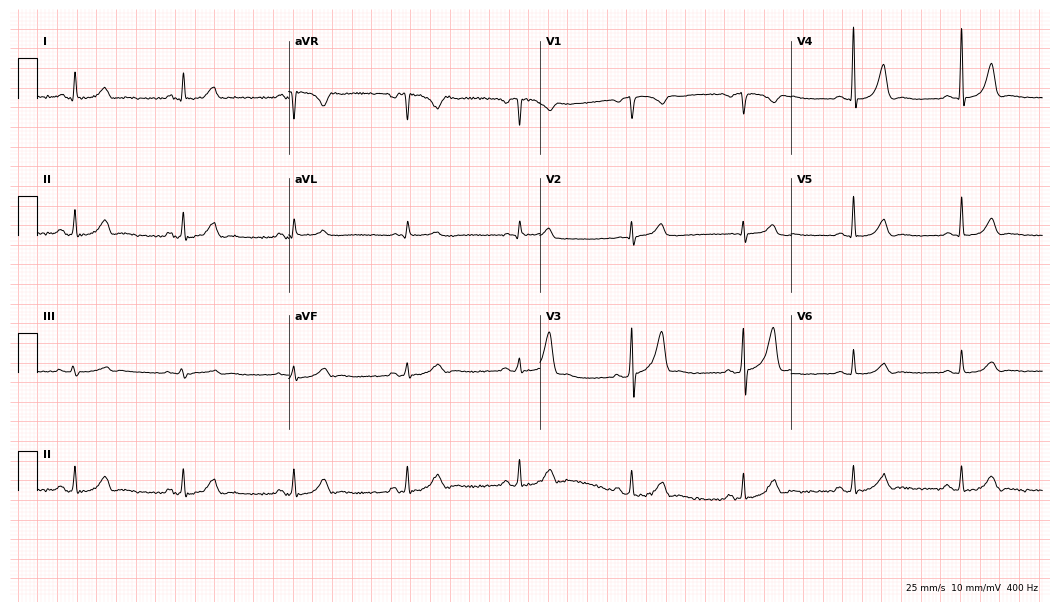
12-lead ECG from a 57-year-old male patient (10.2-second recording at 400 Hz). No first-degree AV block, right bundle branch block (RBBB), left bundle branch block (LBBB), sinus bradycardia, atrial fibrillation (AF) or sinus tachycardia recorded for this tracing.